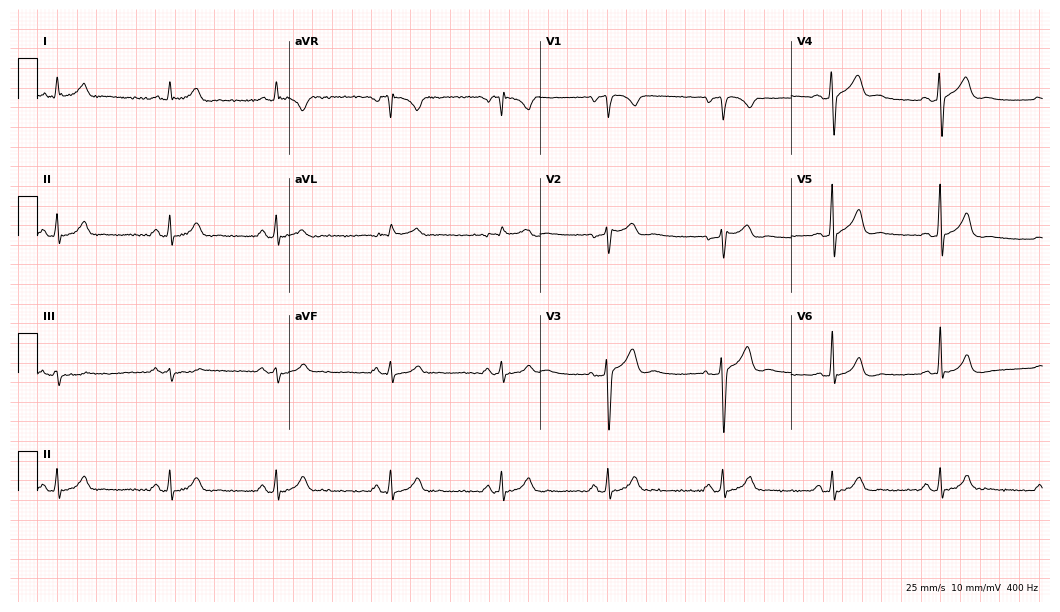
Standard 12-lead ECG recorded from a man, 38 years old. Read as a normal ECG.